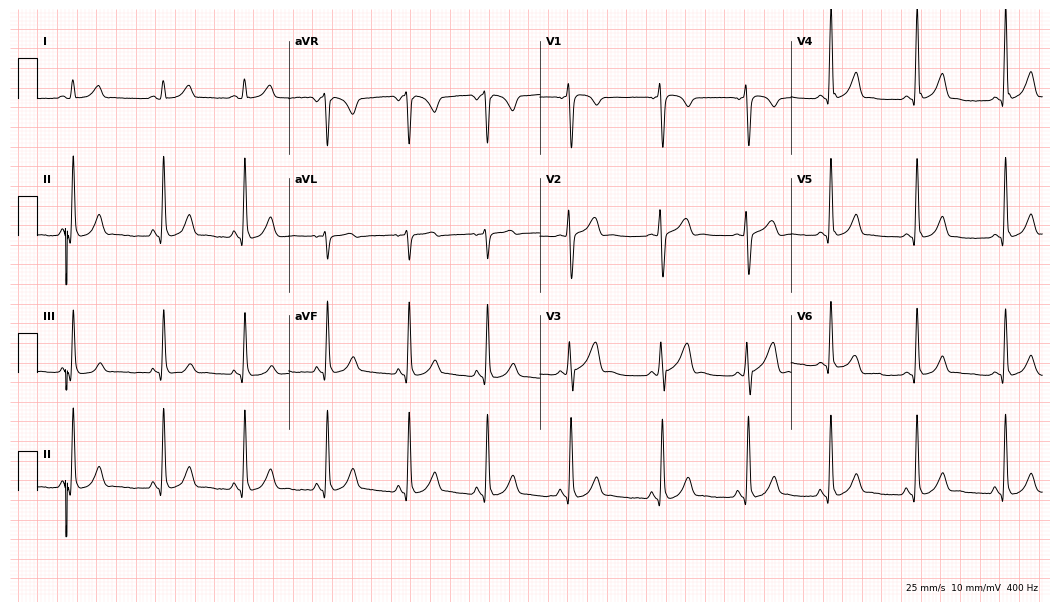
12-lead ECG from a male patient, 31 years old. No first-degree AV block, right bundle branch block, left bundle branch block, sinus bradycardia, atrial fibrillation or sinus tachycardia recorded for this tracing.